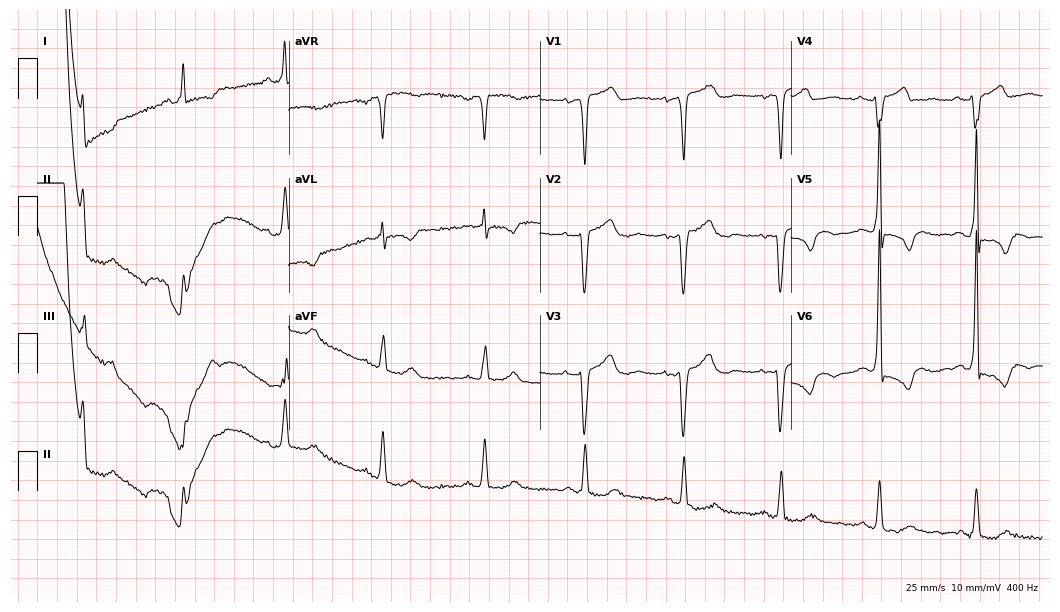
Electrocardiogram, an 82-year-old male. Of the six screened findings (first-degree AV block, right bundle branch block, left bundle branch block, sinus bradycardia, atrial fibrillation, sinus tachycardia), none is recorded.